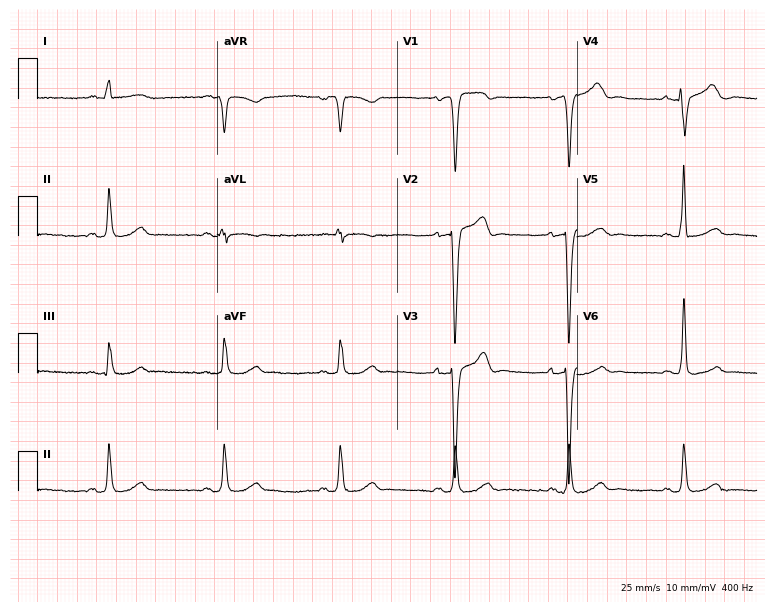
12-lead ECG from an 85-year-old male. Shows left bundle branch block.